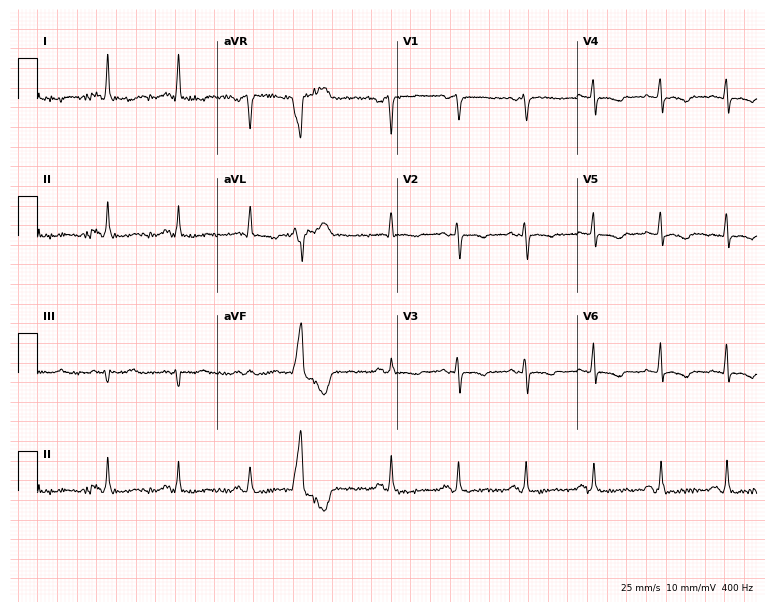
Resting 12-lead electrocardiogram. Patient: a 59-year-old woman. None of these six findings is recorded: first-degree AV block, right bundle branch block, left bundle branch block, sinus bradycardia, atrial fibrillation, sinus tachycardia.